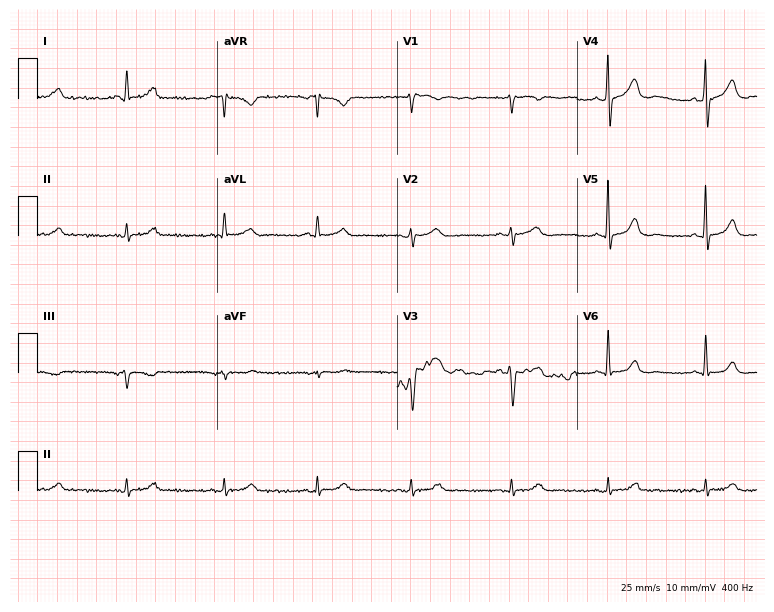
ECG — a male, 70 years old. Labelled as a normal ECG.